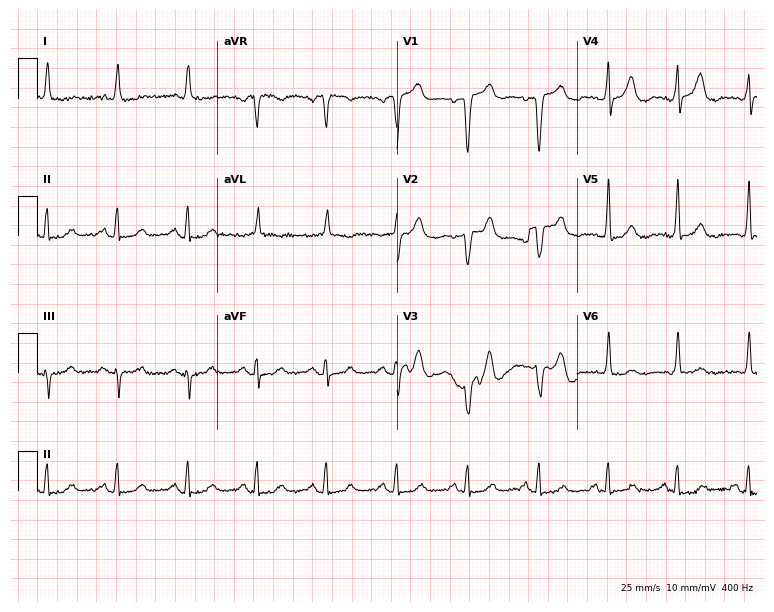
Resting 12-lead electrocardiogram (7.3-second recording at 400 Hz). Patient: a male, 77 years old. Read as a normal ECG.